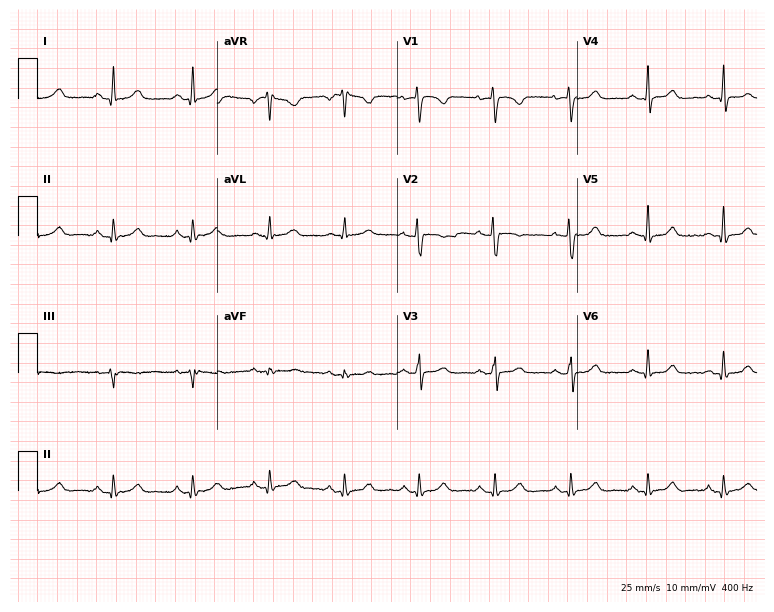
Electrocardiogram (7.3-second recording at 400 Hz), a female patient, 38 years old. Of the six screened findings (first-degree AV block, right bundle branch block, left bundle branch block, sinus bradycardia, atrial fibrillation, sinus tachycardia), none is recorded.